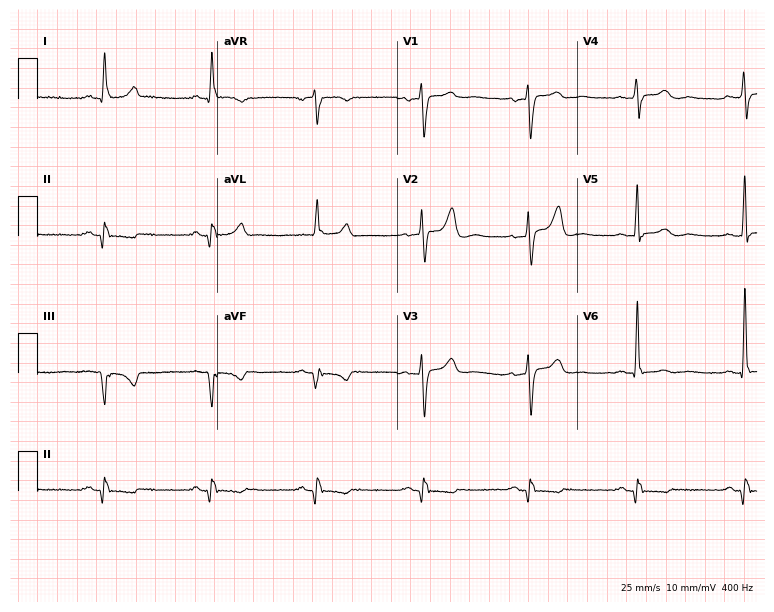
Standard 12-lead ECG recorded from a man, 64 years old. None of these six findings is recorded: first-degree AV block, right bundle branch block, left bundle branch block, sinus bradycardia, atrial fibrillation, sinus tachycardia. Other findings, if any, are not listed.